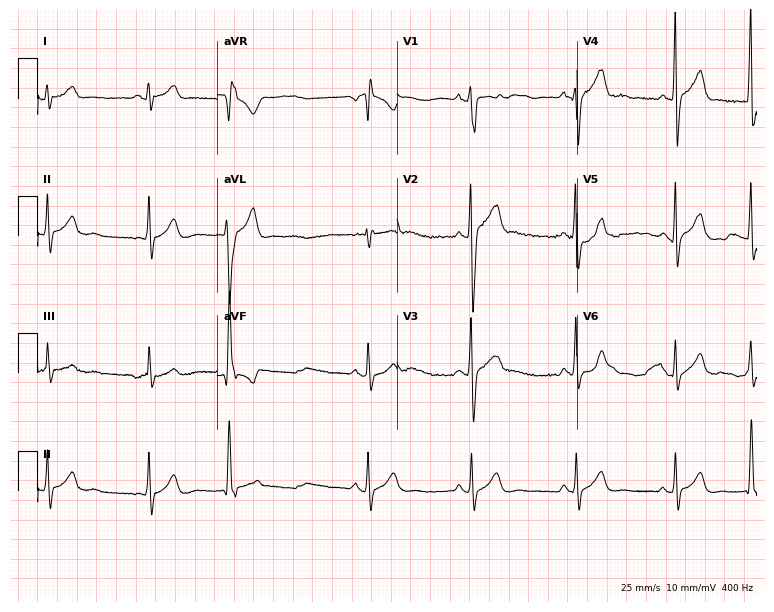
Standard 12-lead ECG recorded from a male, 17 years old (7.3-second recording at 400 Hz). None of these six findings is recorded: first-degree AV block, right bundle branch block, left bundle branch block, sinus bradycardia, atrial fibrillation, sinus tachycardia.